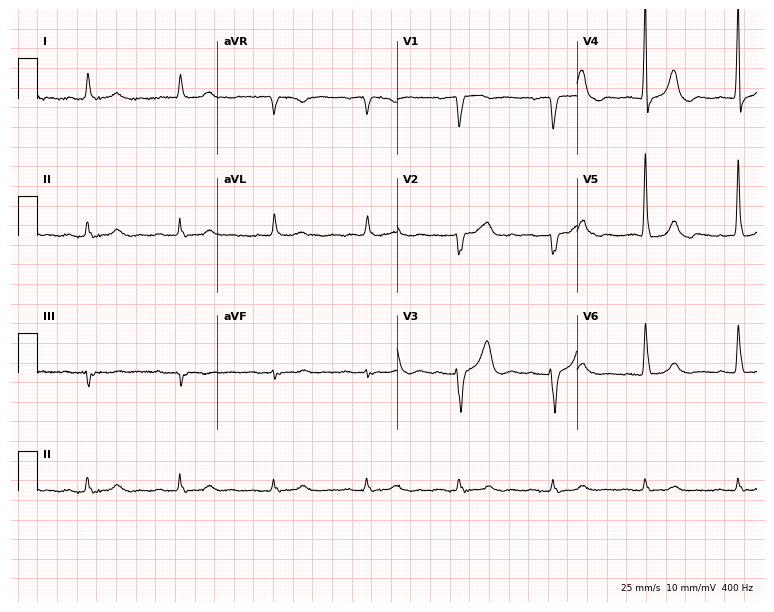
12-lead ECG from an 82-year-old male (7.3-second recording at 400 Hz). Recorded interpretation: within normal limits.